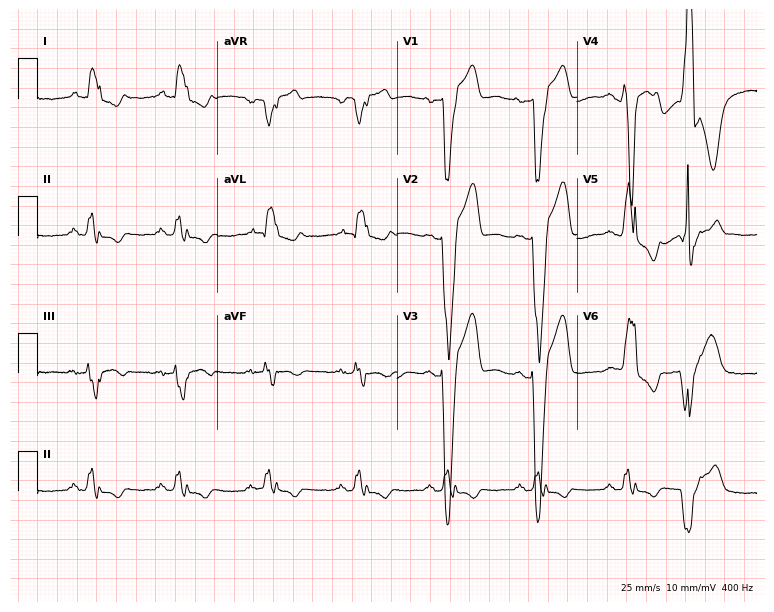
Resting 12-lead electrocardiogram. Patient: a 63-year-old male. The tracing shows left bundle branch block (LBBB).